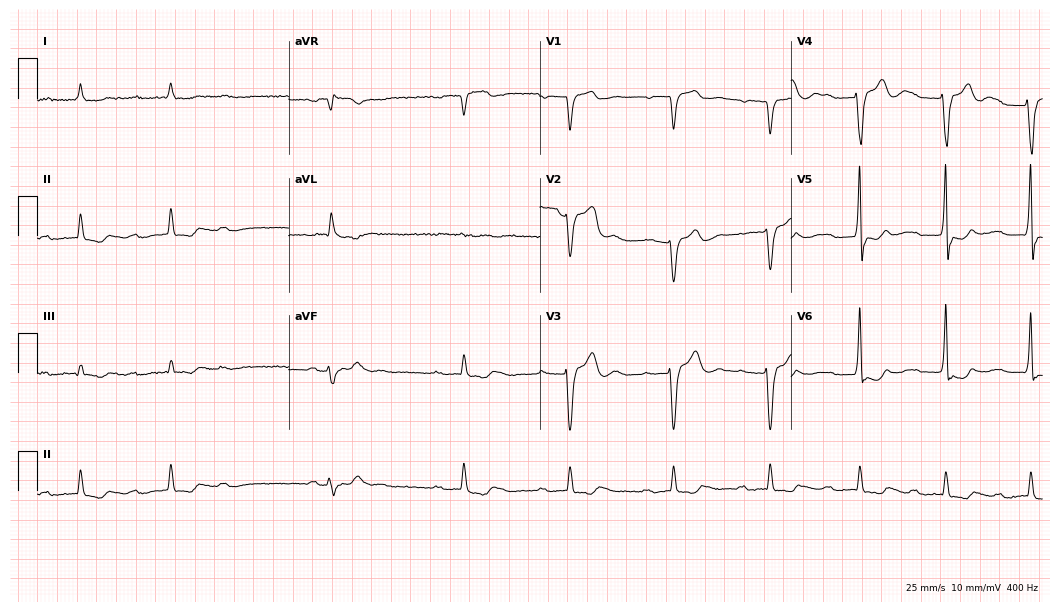
12-lead ECG from an 84-year-old man. Findings include first-degree AV block.